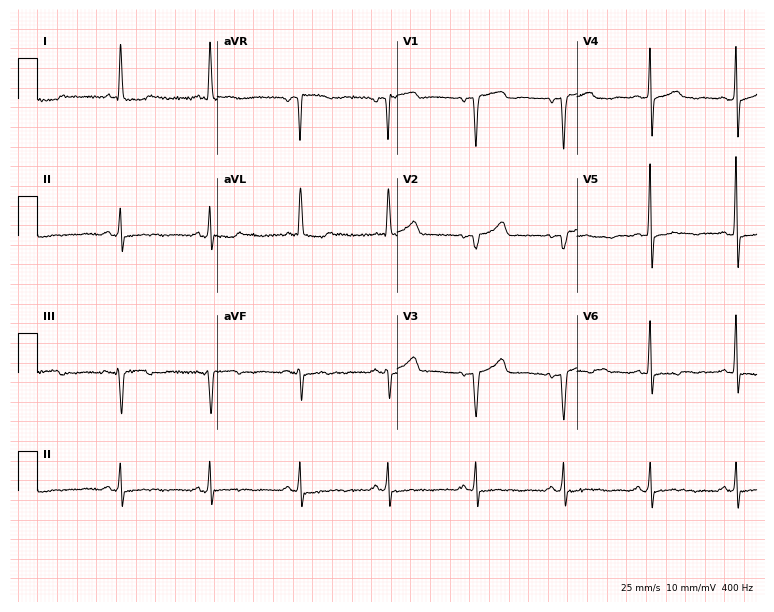
ECG — a female patient, 69 years old. Screened for six findings — first-degree AV block, right bundle branch block, left bundle branch block, sinus bradycardia, atrial fibrillation, sinus tachycardia — none is recorded.